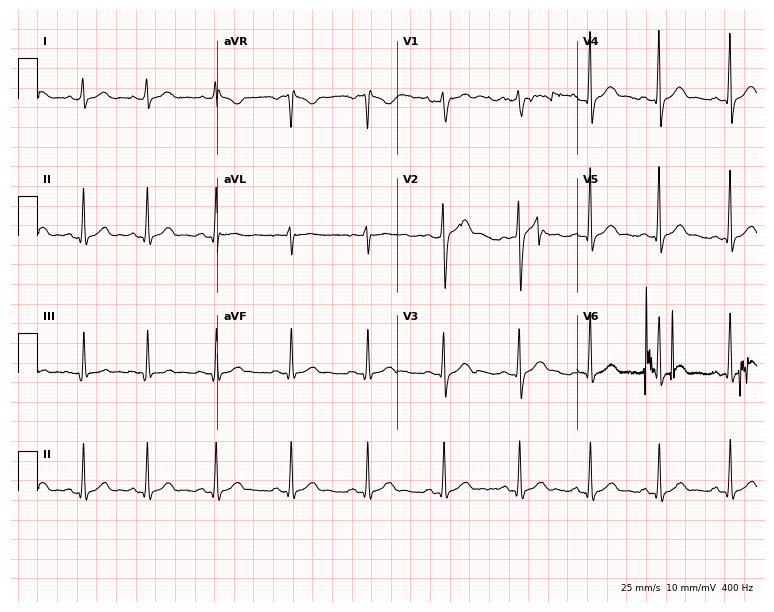
12-lead ECG from a male patient, 37 years old. Screened for six findings — first-degree AV block, right bundle branch block, left bundle branch block, sinus bradycardia, atrial fibrillation, sinus tachycardia — none is recorded. Findings outside these six are not listed.